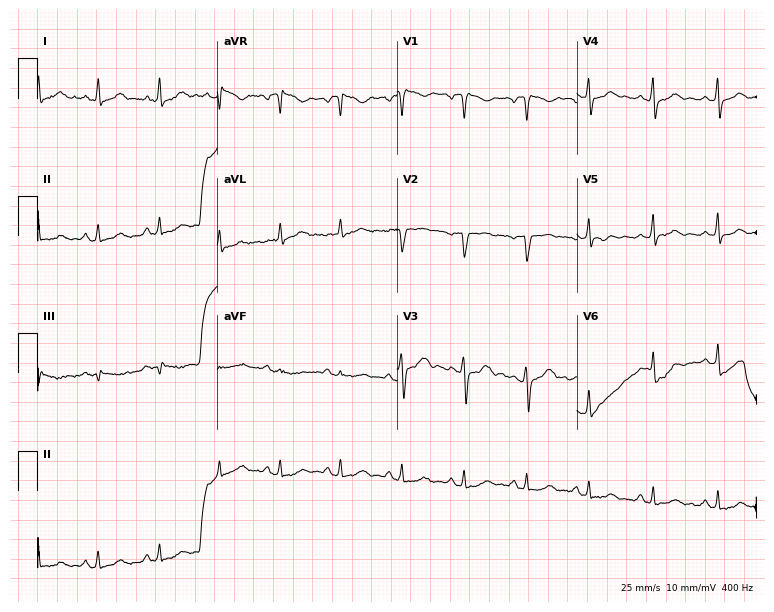
Standard 12-lead ECG recorded from a 33-year-old female. None of these six findings is recorded: first-degree AV block, right bundle branch block, left bundle branch block, sinus bradycardia, atrial fibrillation, sinus tachycardia. Other findings, if any, are not listed.